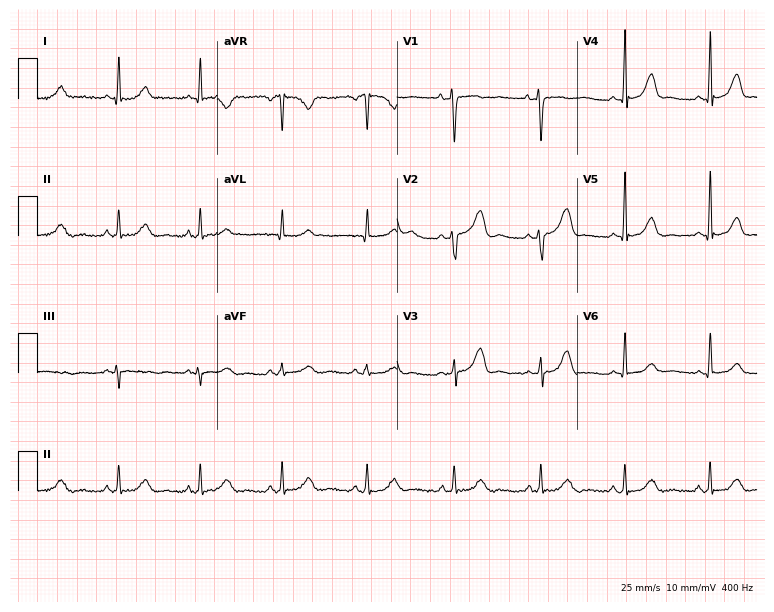
ECG (7.3-second recording at 400 Hz) — a 35-year-old female. Labelled as a normal ECG.